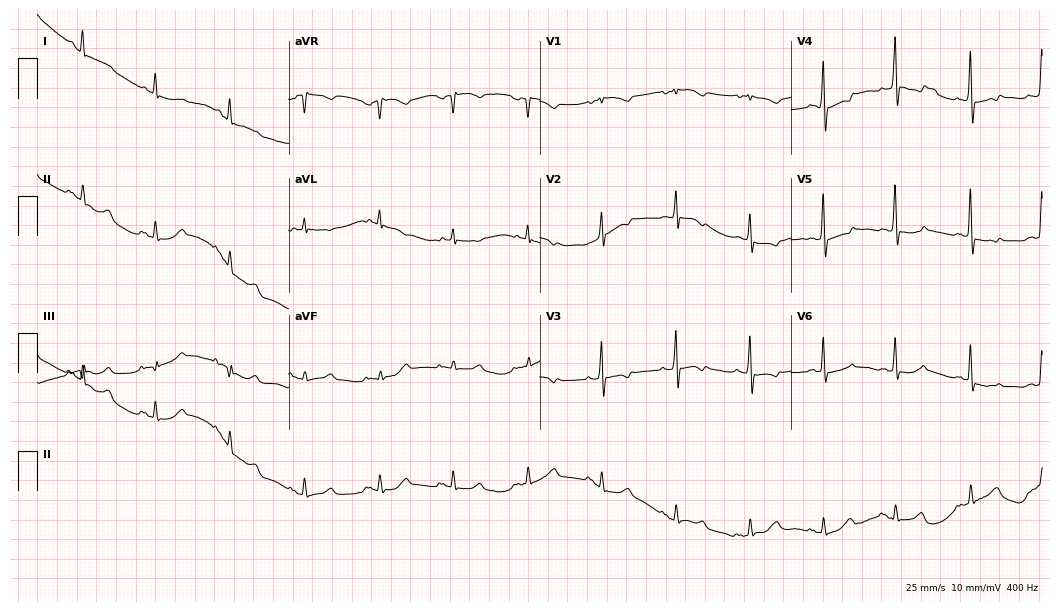
Standard 12-lead ECG recorded from an 84-year-old woman. None of these six findings is recorded: first-degree AV block, right bundle branch block, left bundle branch block, sinus bradycardia, atrial fibrillation, sinus tachycardia.